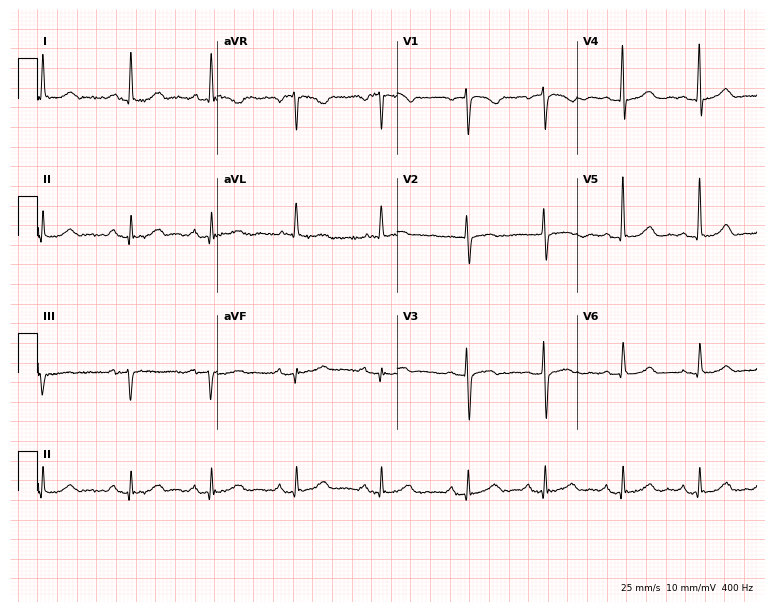
12-lead ECG from a woman, 55 years old (7.3-second recording at 400 Hz). No first-degree AV block, right bundle branch block (RBBB), left bundle branch block (LBBB), sinus bradycardia, atrial fibrillation (AF) or sinus tachycardia recorded for this tracing. Findings outside these six are not listed.